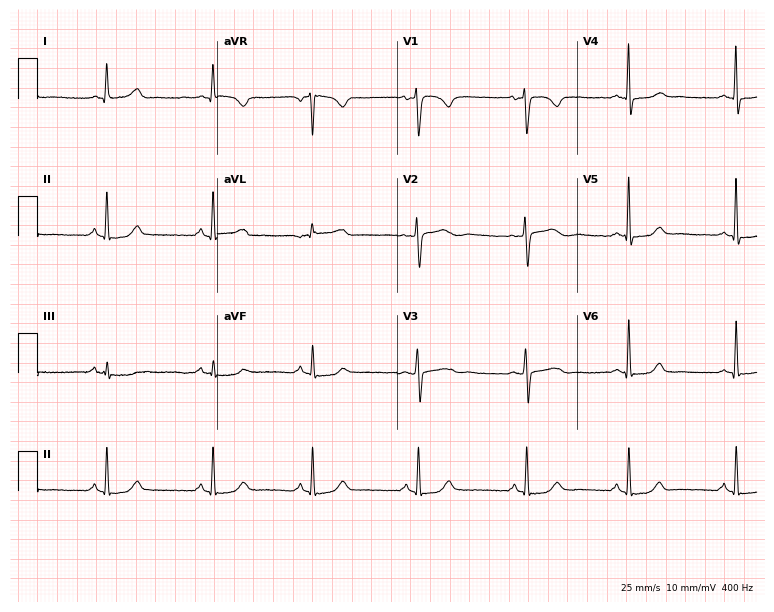
Electrocardiogram, a woman, 34 years old. Overall reading on record: normal ECG.